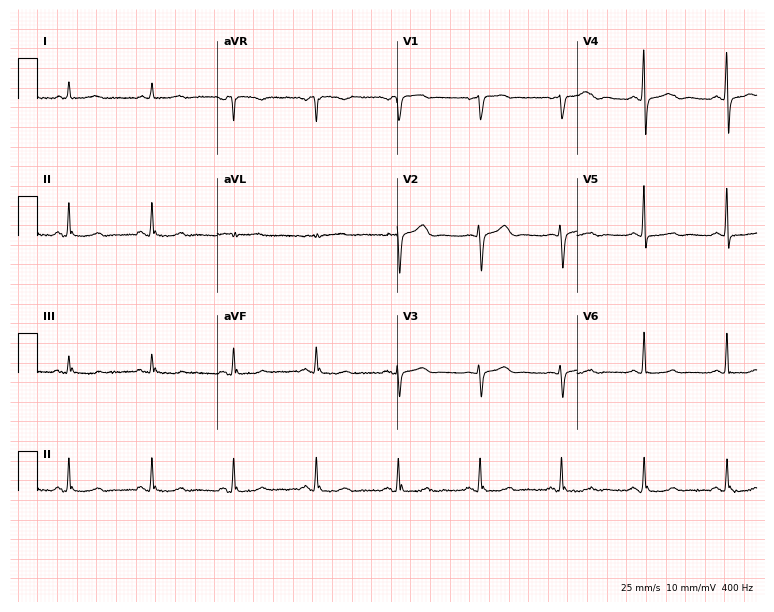
Resting 12-lead electrocardiogram. Patient: a 56-year-old female. None of these six findings is recorded: first-degree AV block, right bundle branch block (RBBB), left bundle branch block (LBBB), sinus bradycardia, atrial fibrillation (AF), sinus tachycardia. Other findings, if any, are not listed.